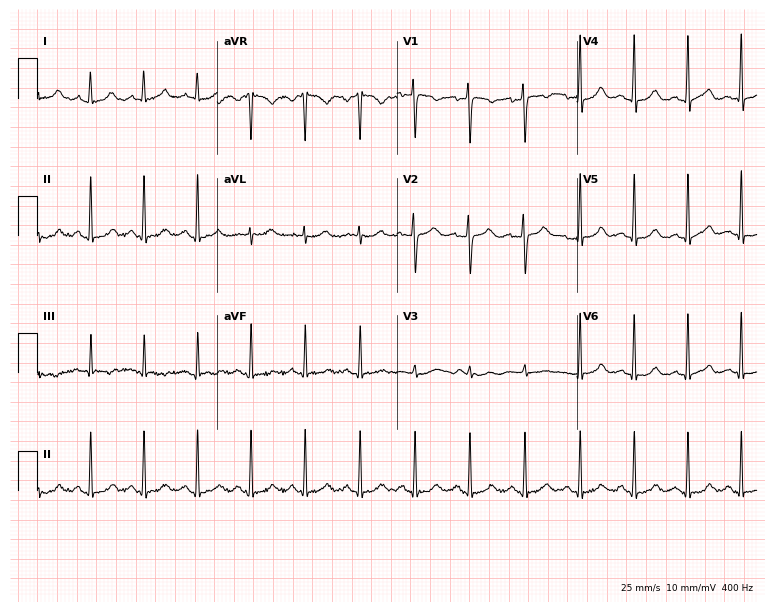
ECG — a female, 38 years old. Findings include sinus tachycardia (a sinus rate of 100 beats per minute or more).